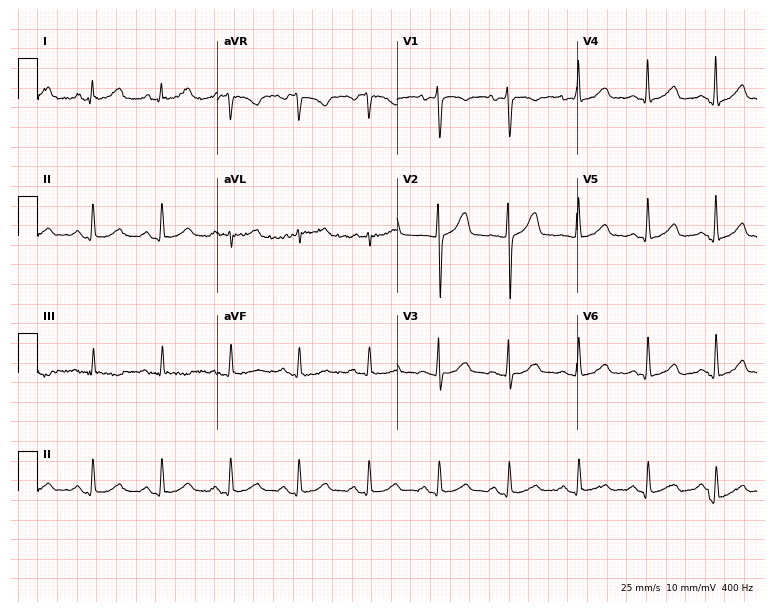
ECG — a 36-year-old female. Labelled as a normal ECG.